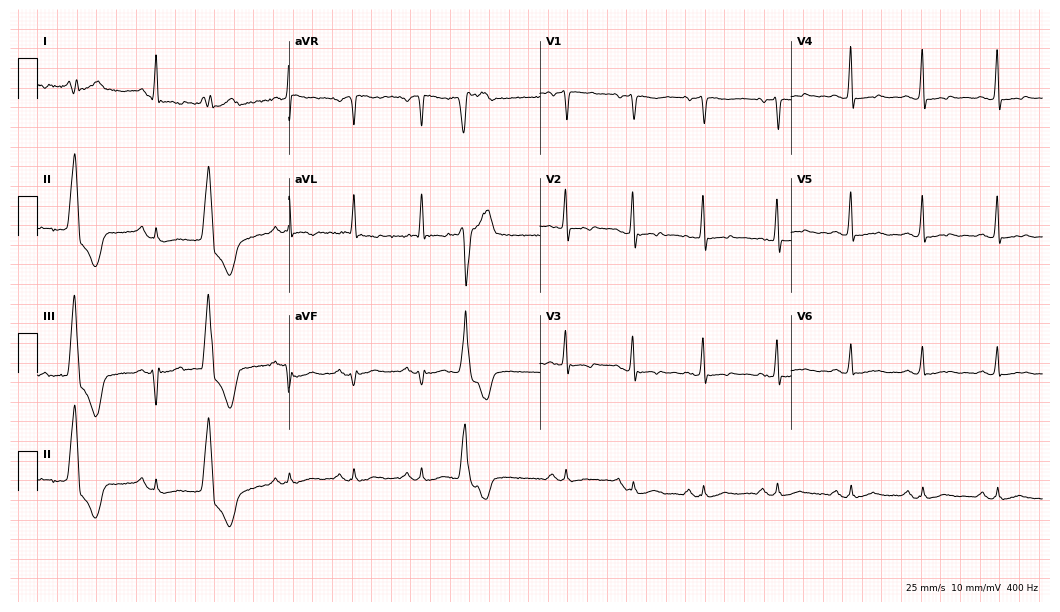
12-lead ECG (10.2-second recording at 400 Hz) from a 59-year-old woman. Screened for six findings — first-degree AV block, right bundle branch block, left bundle branch block, sinus bradycardia, atrial fibrillation, sinus tachycardia — none is recorded.